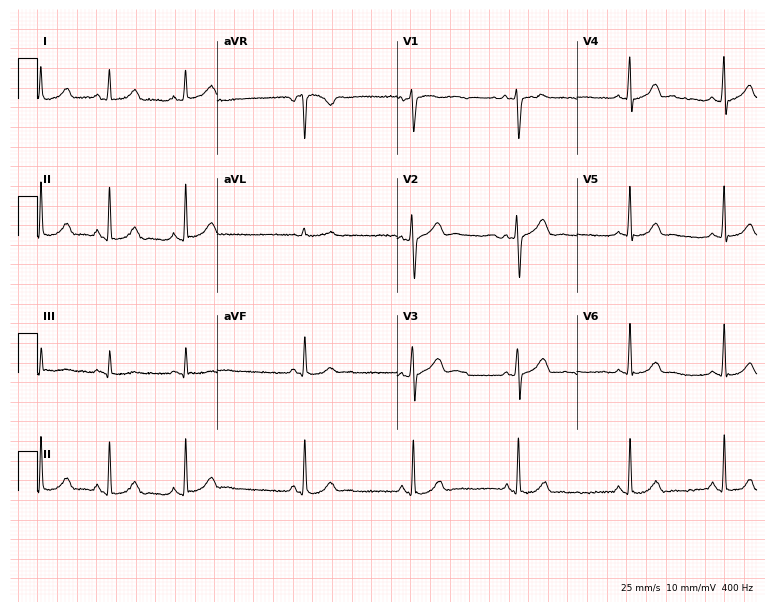
Standard 12-lead ECG recorded from a female, 20 years old (7.3-second recording at 400 Hz). Read as a normal ECG.